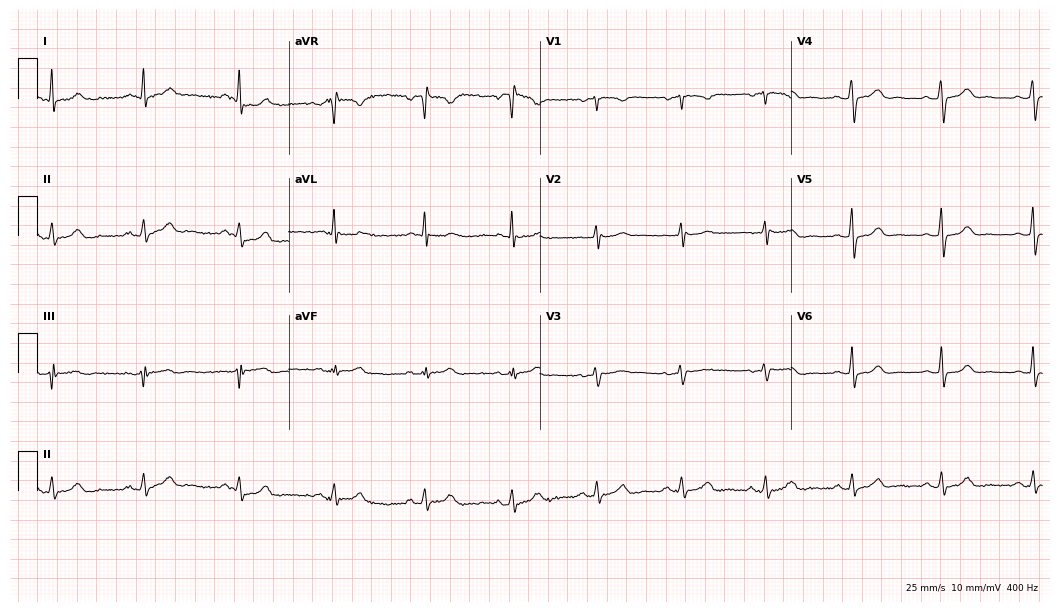
12-lead ECG (10.2-second recording at 400 Hz) from a female, 38 years old. Labelled as a normal ECG.